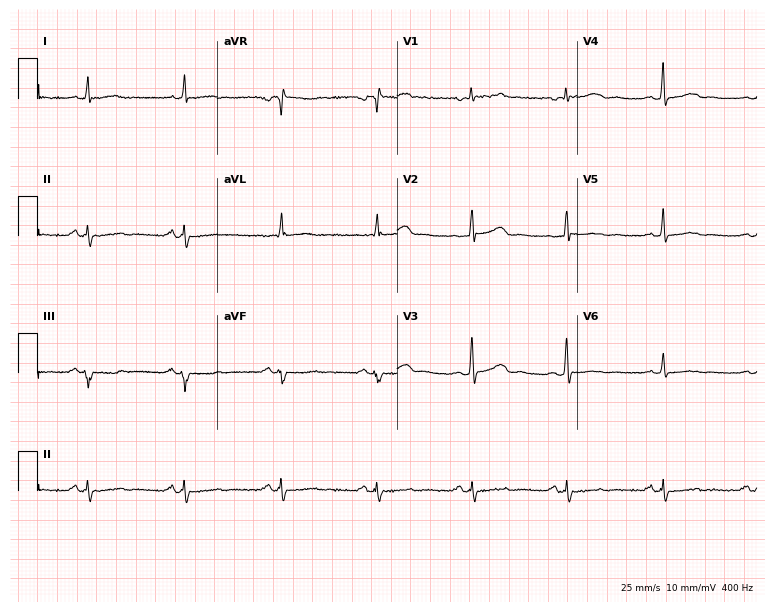
ECG — a female, 48 years old. Screened for six findings — first-degree AV block, right bundle branch block, left bundle branch block, sinus bradycardia, atrial fibrillation, sinus tachycardia — none is recorded. Findings outside these six are not listed.